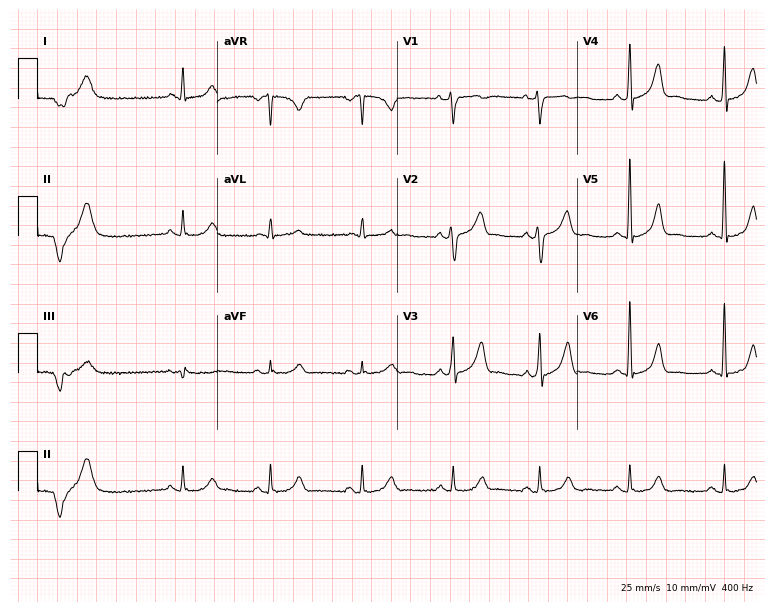
ECG (7.3-second recording at 400 Hz) — a 66-year-old male. Screened for six findings — first-degree AV block, right bundle branch block, left bundle branch block, sinus bradycardia, atrial fibrillation, sinus tachycardia — none is recorded.